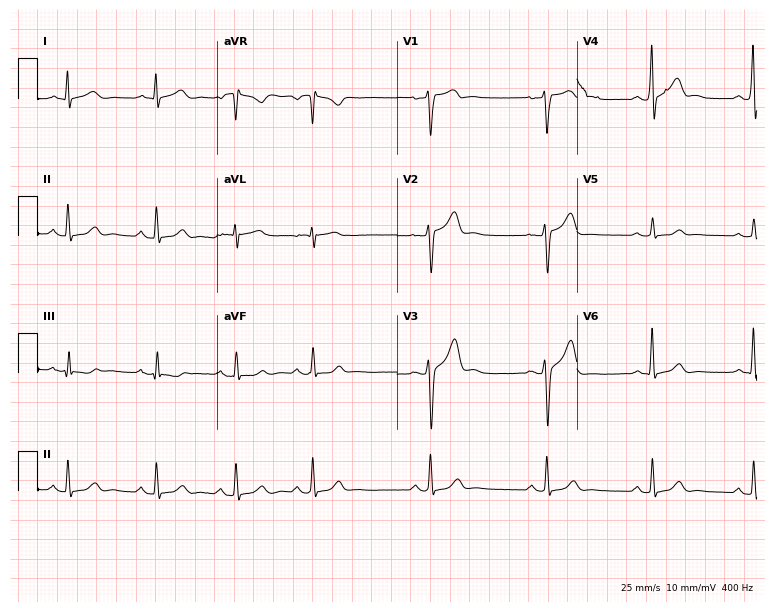
12-lead ECG from a male patient, 23 years old. Screened for six findings — first-degree AV block, right bundle branch block, left bundle branch block, sinus bradycardia, atrial fibrillation, sinus tachycardia — none is recorded.